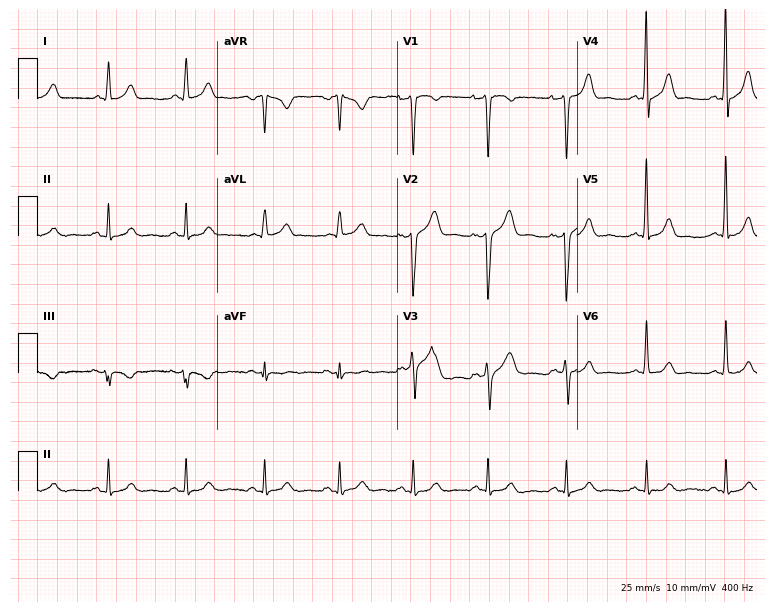
Electrocardiogram (7.3-second recording at 400 Hz), a 34-year-old male patient. Of the six screened findings (first-degree AV block, right bundle branch block, left bundle branch block, sinus bradycardia, atrial fibrillation, sinus tachycardia), none is recorded.